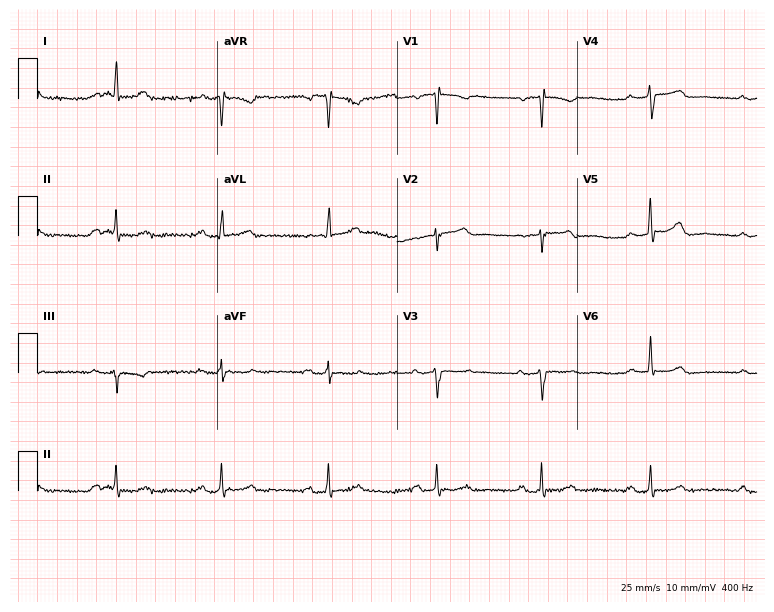
Electrocardiogram, a woman, 55 years old. Overall reading on record: normal ECG.